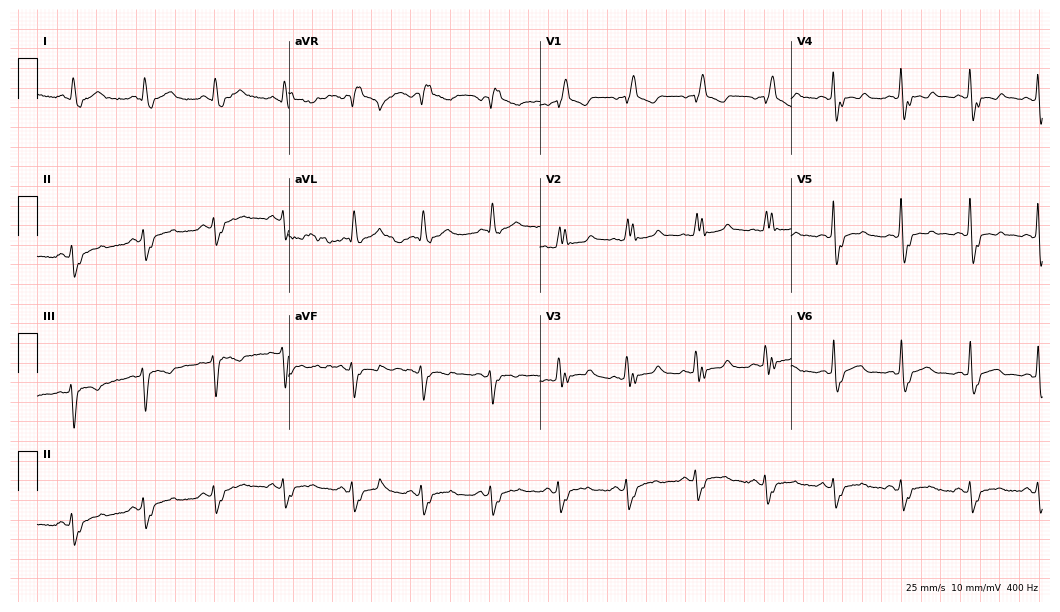
Electrocardiogram, an 80-year-old male patient. Interpretation includes right bundle branch block.